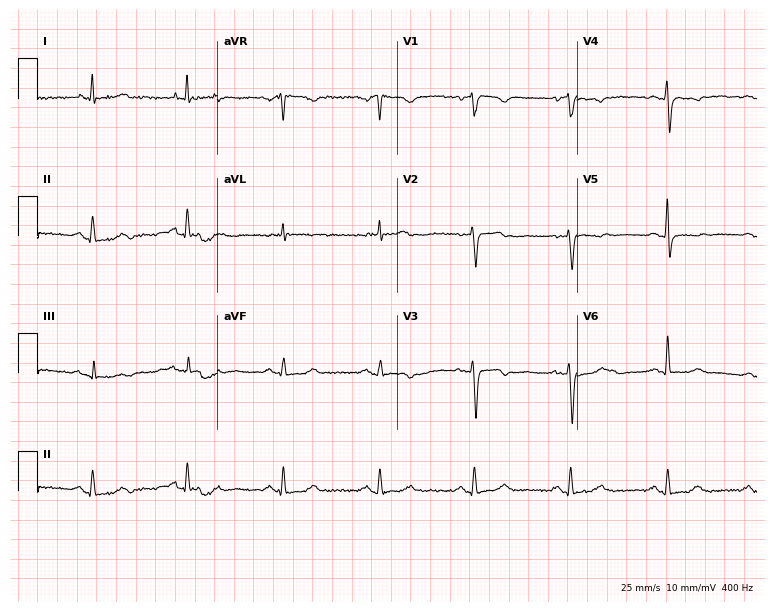
ECG (7.3-second recording at 400 Hz) — a 58-year-old female. Screened for six findings — first-degree AV block, right bundle branch block, left bundle branch block, sinus bradycardia, atrial fibrillation, sinus tachycardia — none is recorded. Other findings, if any, are not listed.